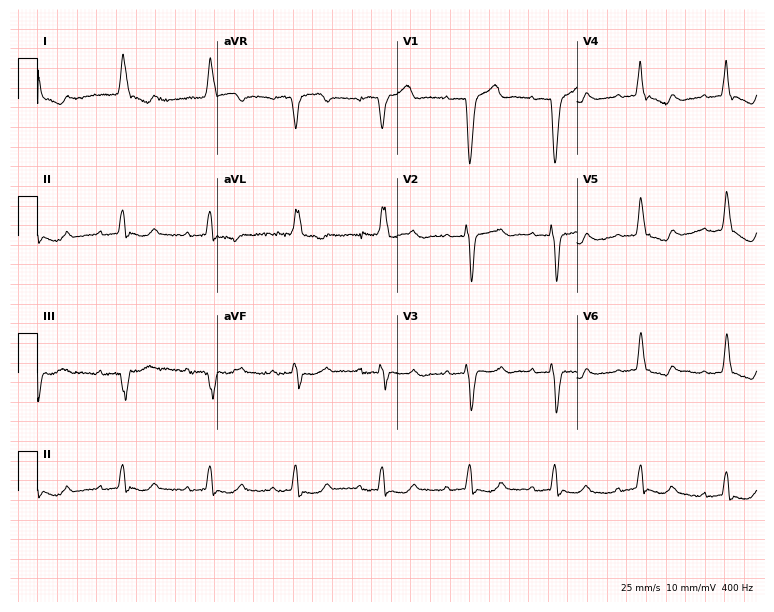
Electrocardiogram, a woman, 79 years old. Interpretation includes first-degree AV block, left bundle branch block (LBBB).